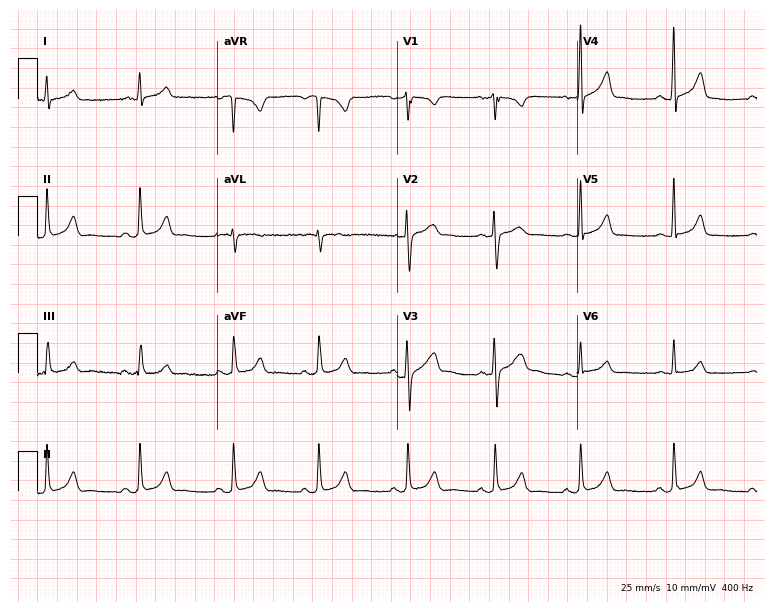
12-lead ECG from a male, 40 years old (7.3-second recording at 400 Hz). Recorded interpretation: within normal limits.